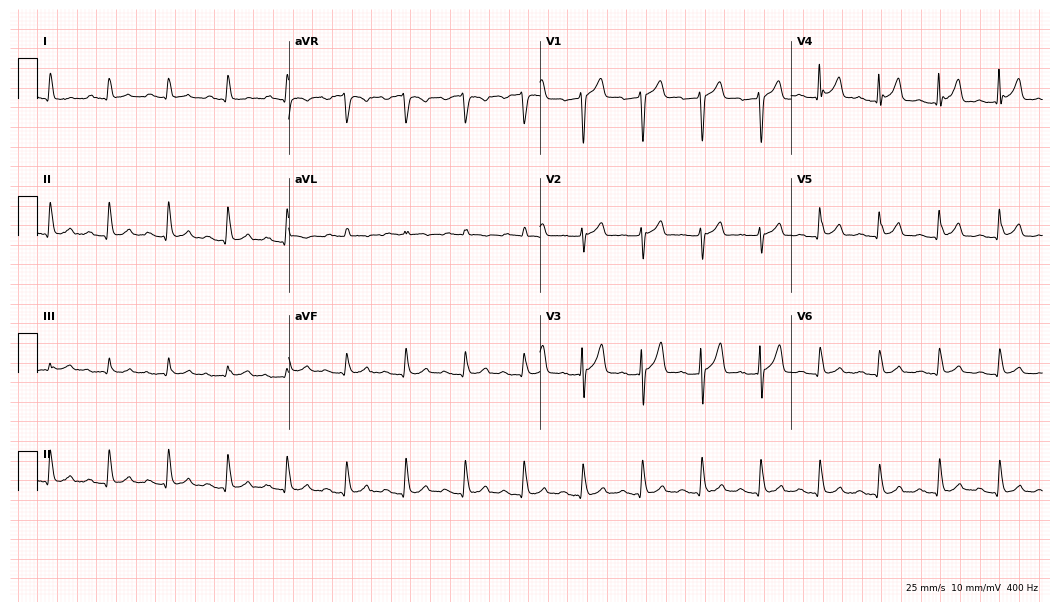
12-lead ECG from a male, 61 years old. Screened for six findings — first-degree AV block, right bundle branch block, left bundle branch block, sinus bradycardia, atrial fibrillation, sinus tachycardia — none is recorded. Only these six findings were labelled.